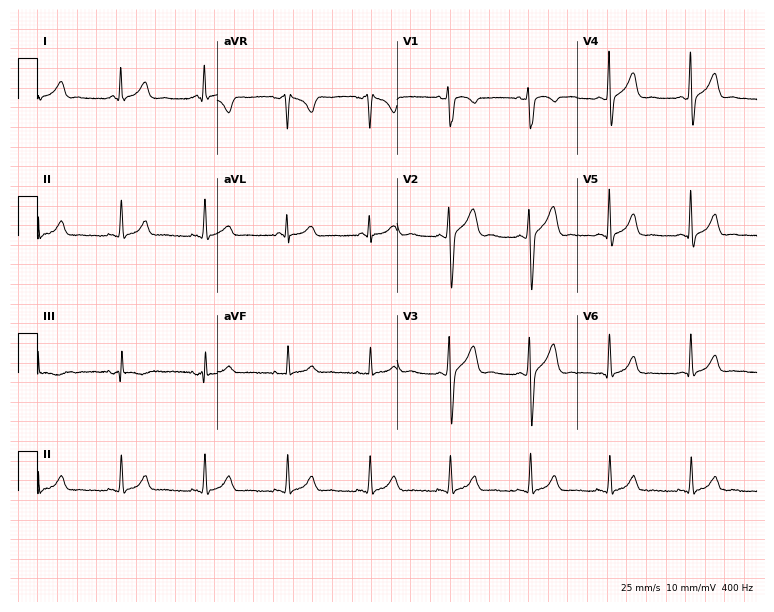
12-lead ECG from a male, 36 years old. Screened for six findings — first-degree AV block, right bundle branch block (RBBB), left bundle branch block (LBBB), sinus bradycardia, atrial fibrillation (AF), sinus tachycardia — none is recorded. Only these six findings were labelled.